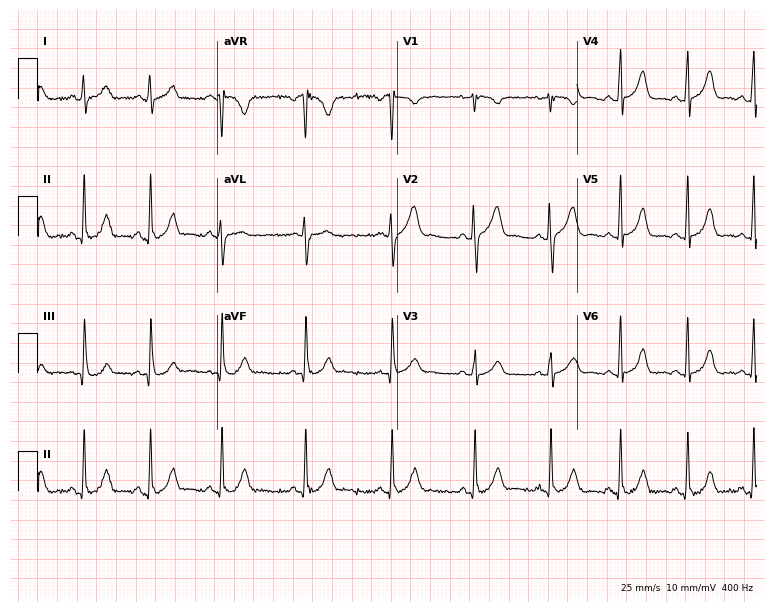
Standard 12-lead ECG recorded from a female, 17 years old. Read as a normal ECG.